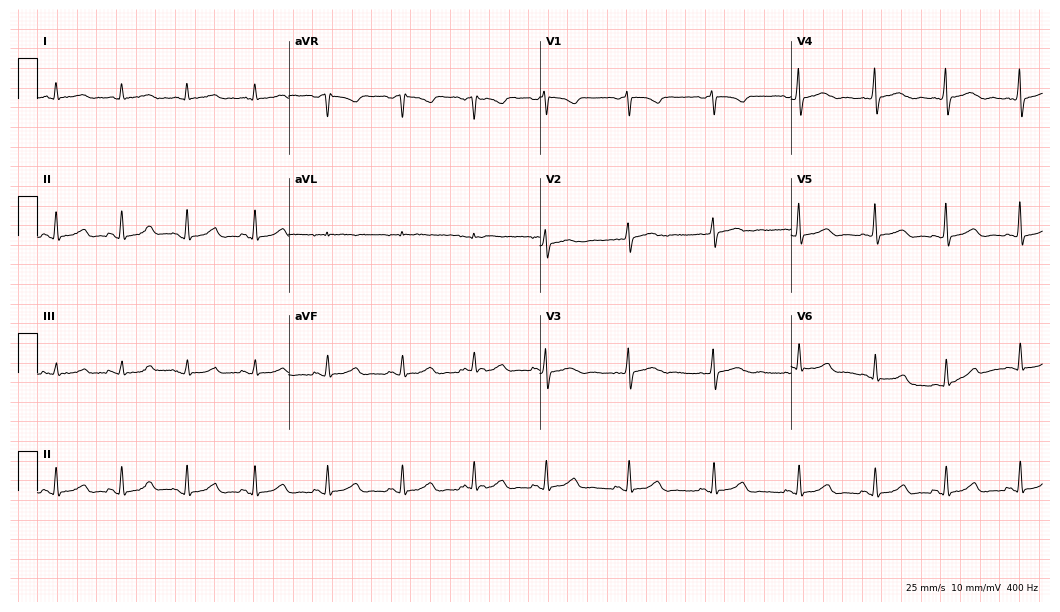
Resting 12-lead electrocardiogram (10.2-second recording at 400 Hz). Patient: a 45-year-old female. None of these six findings is recorded: first-degree AV block, right bundle branch block (RBBB), left bundle branch block (LBBB), sinus bradycardia, atrial fibrillation (AF), sinus tachycardia.